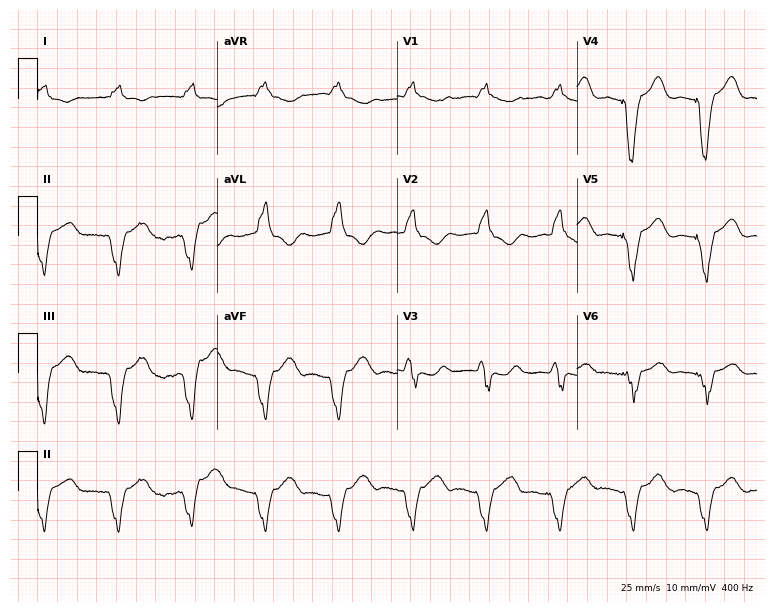
Standard 12-lead ECG recorded from a 62-year-old female (7.3-second recording at 400 Hz). None of these six findings is recorded: first-degree AV block, right bundle branch block, left bundle branch block, sinus bradycardia, atrial fibrillation, sinus tachycardia.